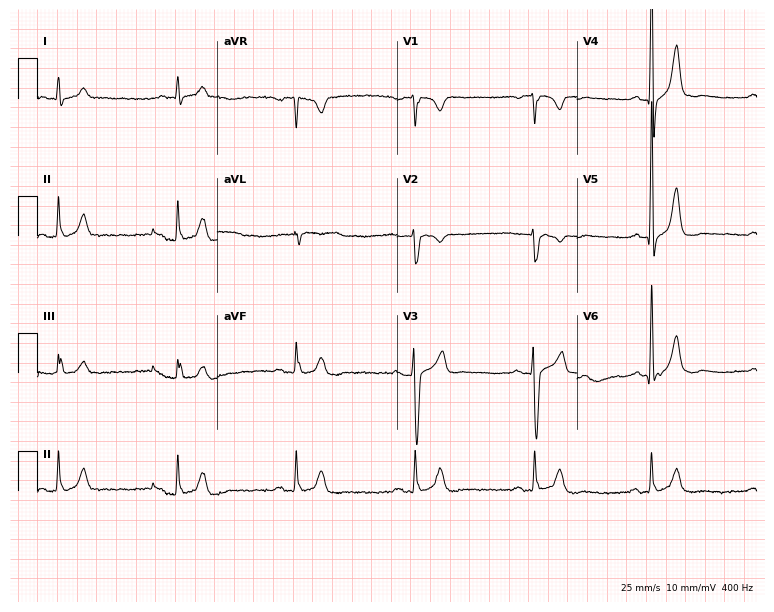
Electrocardiogram, a male patient, 81 years old. Of the six screened findings (first-degree AV block, right bundle branch block (RBBB), left bundle branch block (LBBB), sinus bradycardia, atrial fibrillation (AF), sinus tachycardia), none is recorded. Other findings, if any, are not listed.